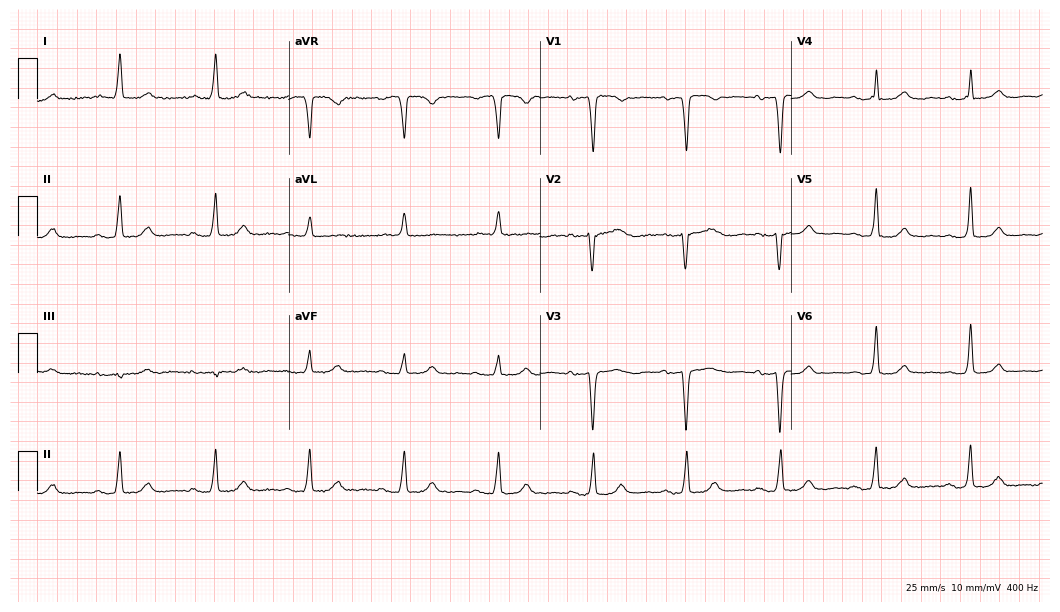
ECG (10.2-second recording at 400 Hz) — a 77-year-old female patient. Findings include first-degree AV block.